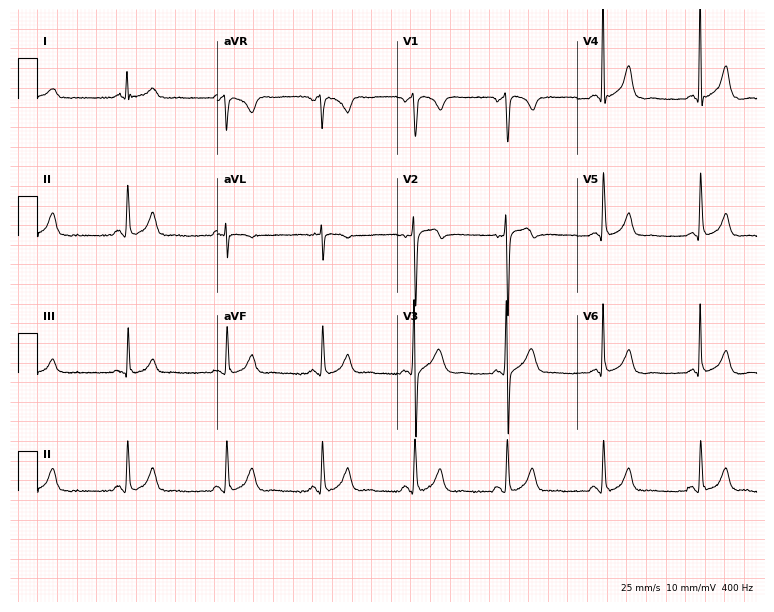
Electrocardiogram (7.3-second recording at 400 Hz), a male, 61 years old. Of the six screened findings (first-degree AV block, right bundle branch block, left bundle branch block, sinus bradycardia, atrial fibrillation, sinus tachycardia), none is recorded. Only these six findings were labelled.